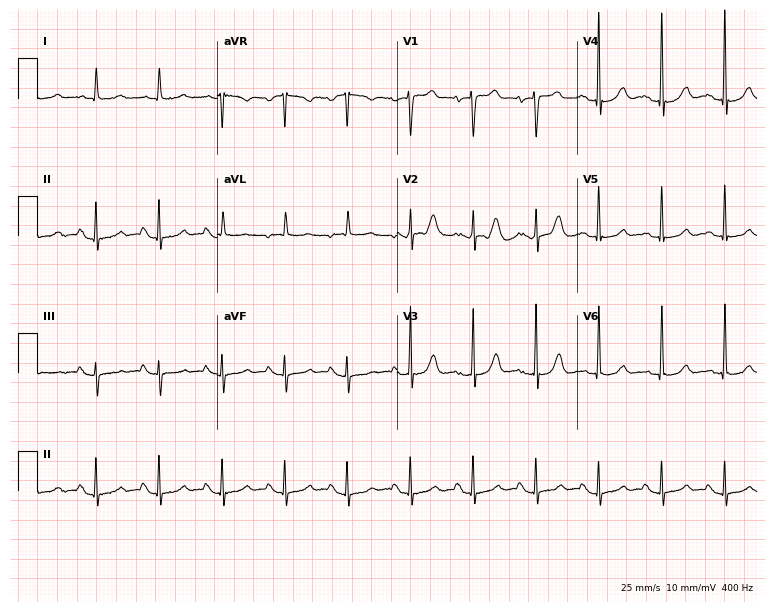
Resting 12-lead electrocardiogram (7.3-second recording at 400 Hz). Patient: a 66-year-old woman. None of these six findings is recorded: first-degree AV block, right bundle branch block, left bundle branch block, sinus bradycardia, atrial fibrillation, sinus tachycardia.